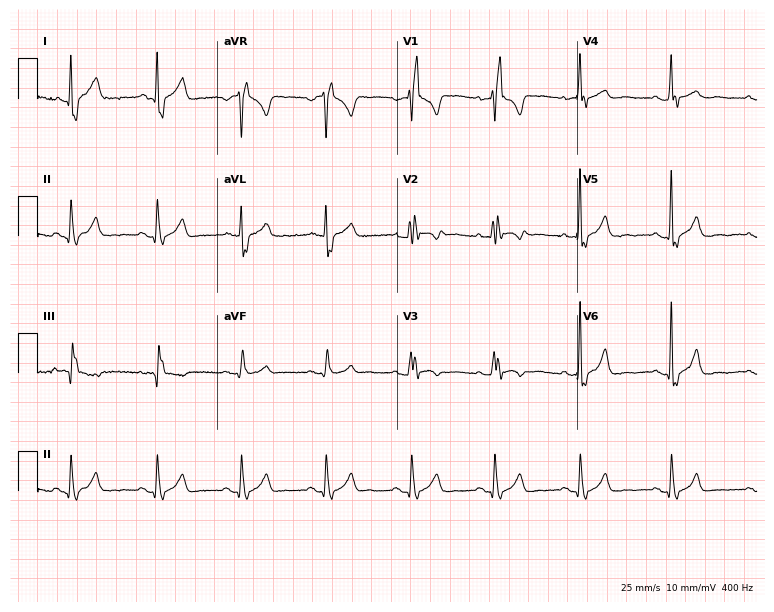
Standard 12-lead ECG recorded from a male, 44 years old. None of these six findings is recorded: first-degree AV block, right bundle branch block (RBBB), left bundle branch block (LBBB), sinus bradycardia, atrial fibrillation (AF), sinus tachycardia. Only these six findings were labelled.